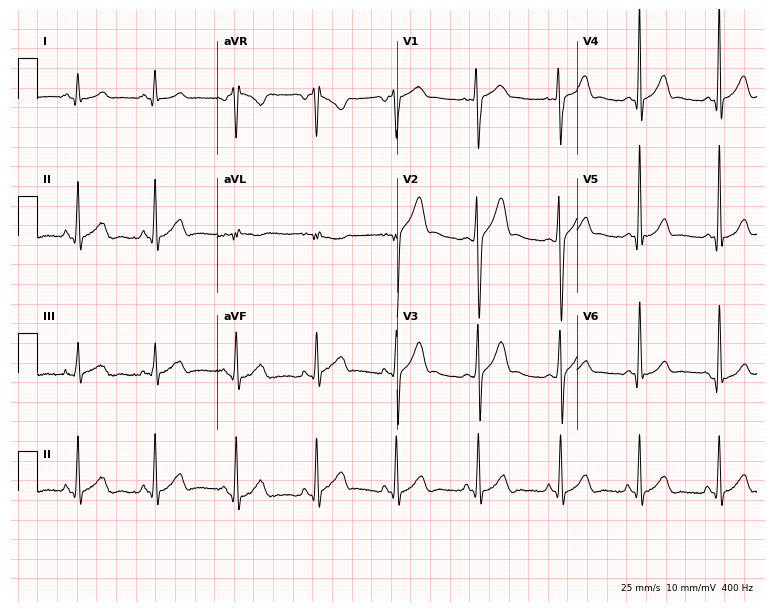
12-lead ECG from a 17-year-old man (7.3-second recording at 400 Hz). Recorded interpretation: within normal limits.